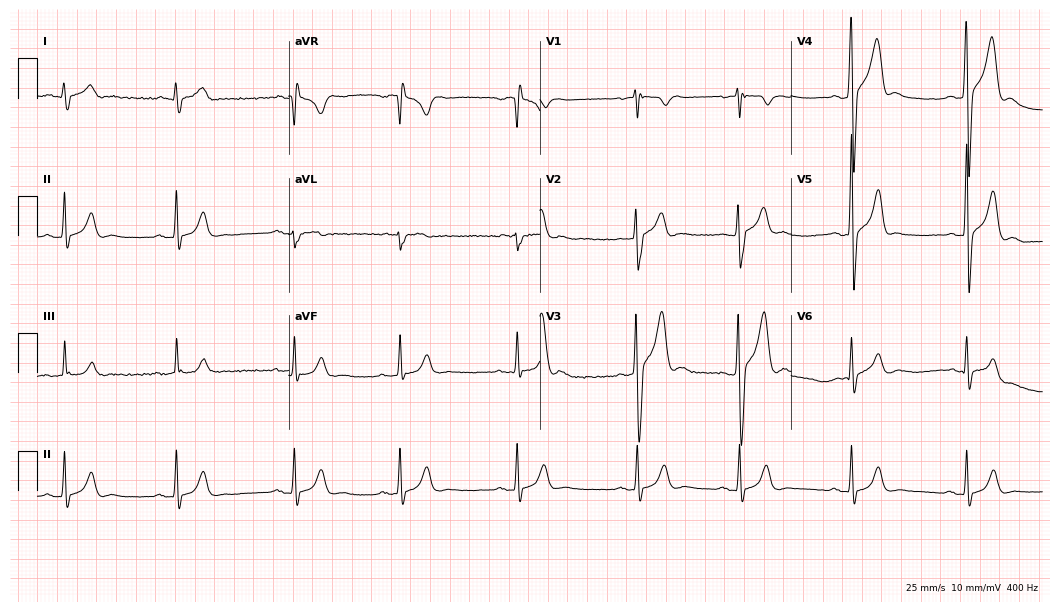
12-lead ECG (10.2-second recording at 400 Hz) from a 22-year-old male patient. Screened for six findings — first-degree AV block, right bundle branch block, left bundle branch block, sinus bradycardia, atrial fibrillation, sinus tachycardia — none is recorded.